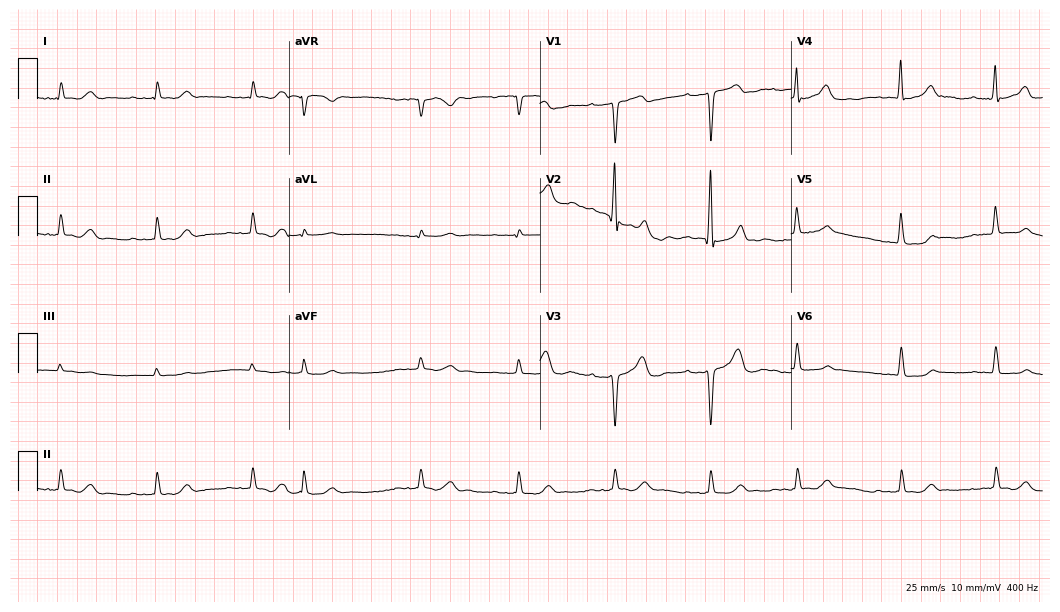
Resting 12-lead electrocardiogram. Patient: a male, 83 years old. The tracing shows first-degree AV block, atrial fibrillation.